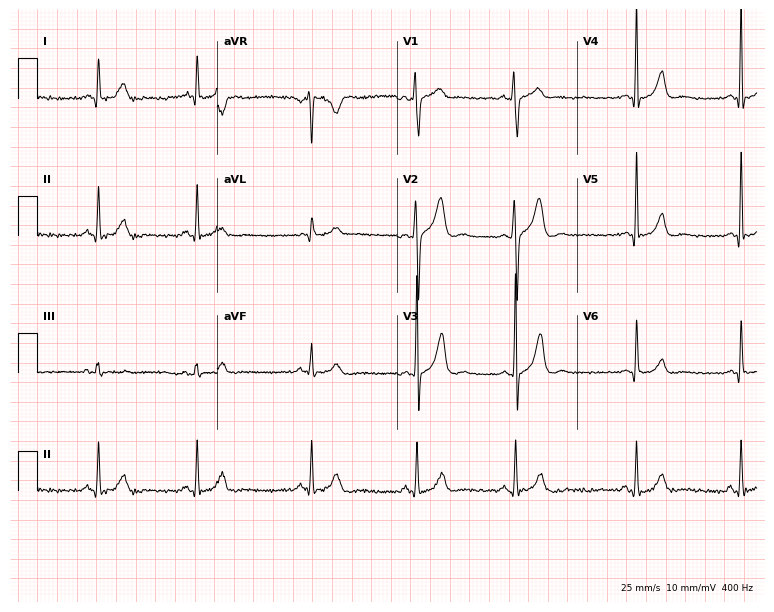
12-lead ECG from a 41-year-old male patient. Labelled as a normal ECG.